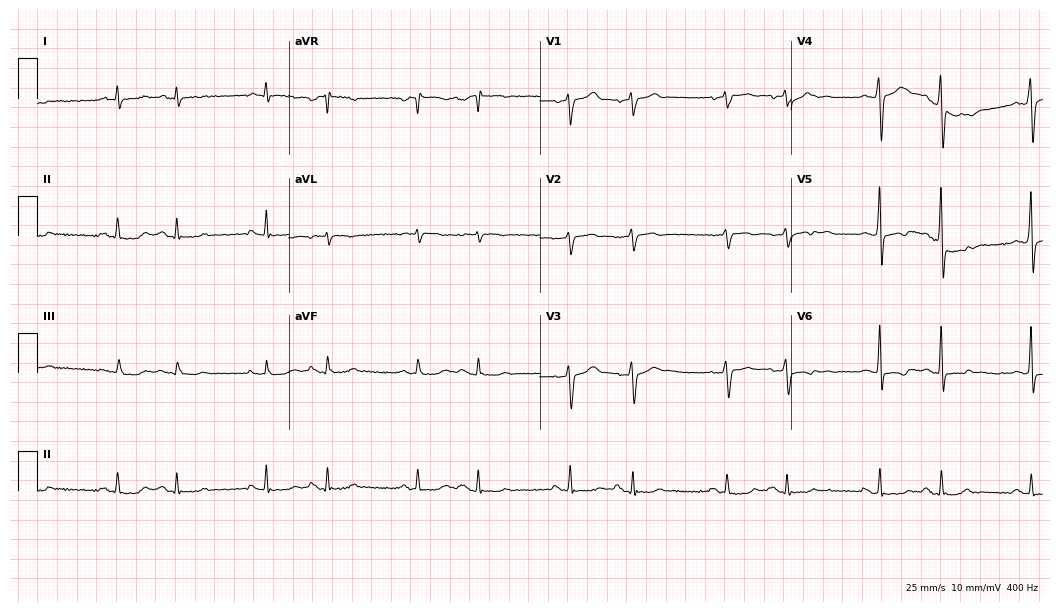
12-lead ECG from a man, 69 years old (10.2-second recording at 400 Hz). No first-degree AV block, right bundle branch block, left bundle branch block, sinus bradycardia, atrial fibrillation or sinus tachycardia recorded for this tracing.